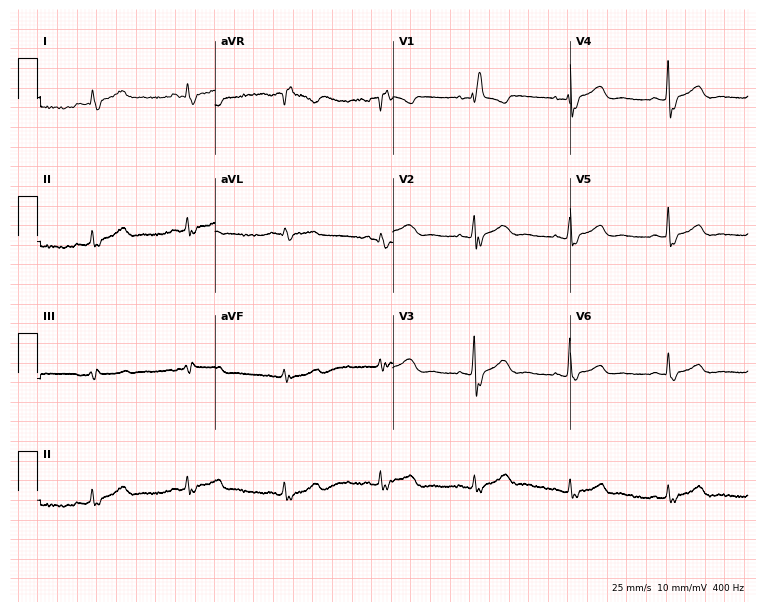
12-lead ECG from a 71-year-old female. Findings include right bundle branch block.